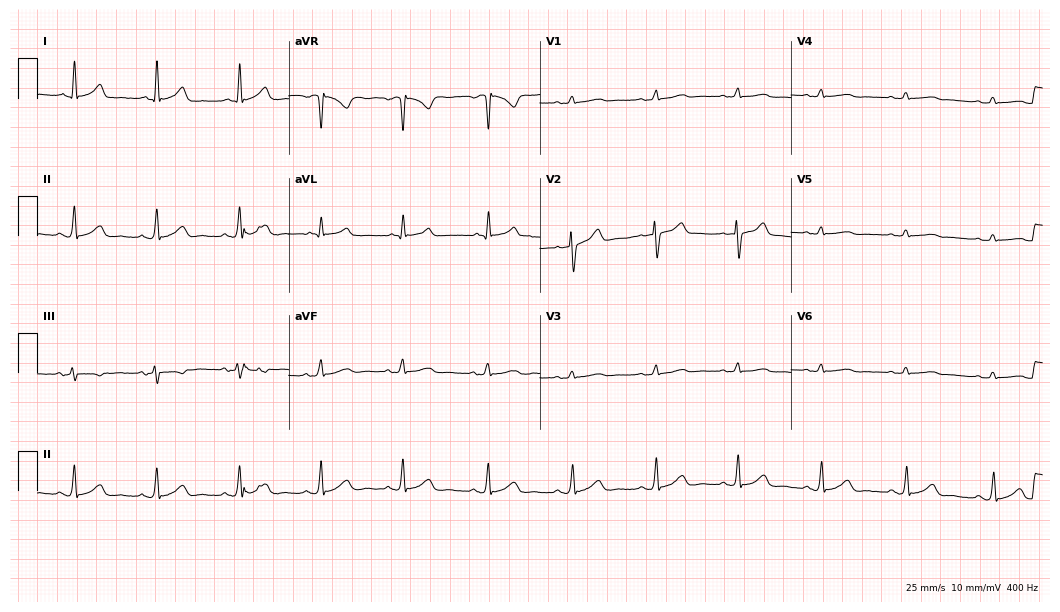
ECG — a male patient, 47 years old. Screened for six findings — first-degree AV block, right bundle branch block, left bundle branch block, sinus bradycardia, atrial fibrillation, sinus tachycardia — none is recorded.